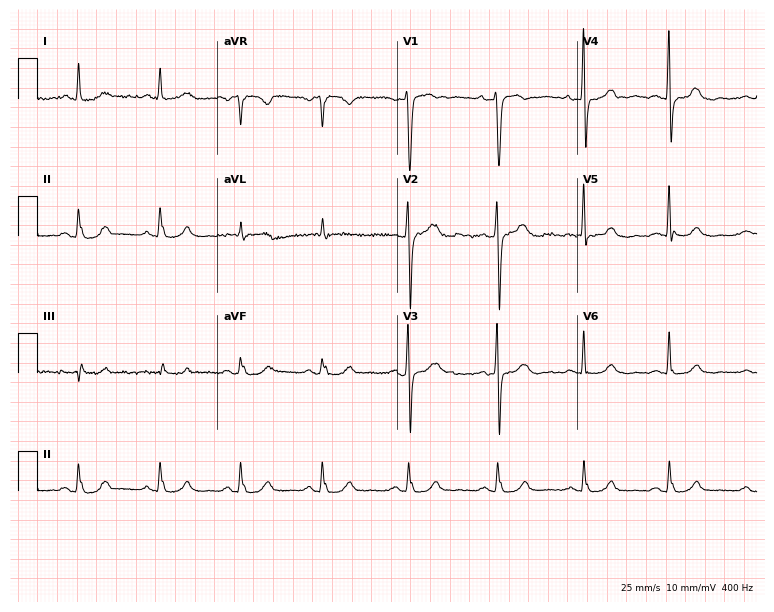
Resting 12-lead electrocardiogram (7.3-second recording at 400 Hz). Patient: a female, 61 years old. Read as a normal ECG.